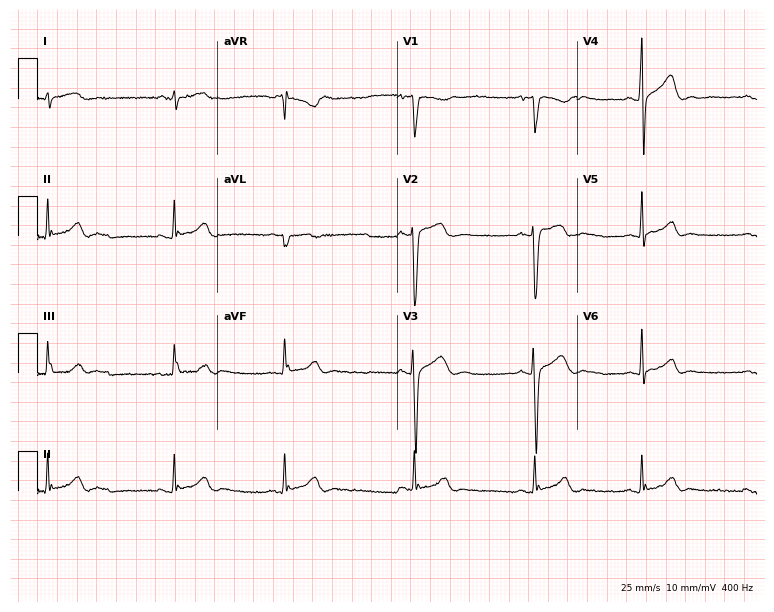
Resting 12-lead electrocardiogram. Patient: a male, 18 years old. Read as a normal ECG.